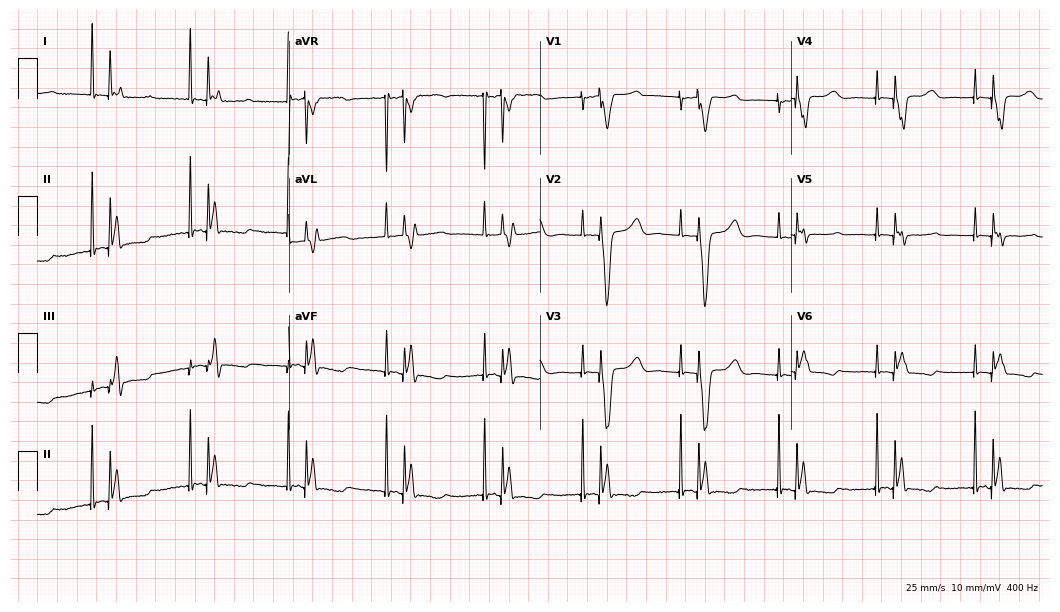
Electrocardiogram (10.2-second recording at 400 Hz), a woman, 79 years old. Of the six screened findings (first-degree AV block, right bundle branch block (RBBB), left bundle branch block (LBBB), sinus bradycardia, atrial fibrillation (AF), sinus tachycardia), none is recorded.